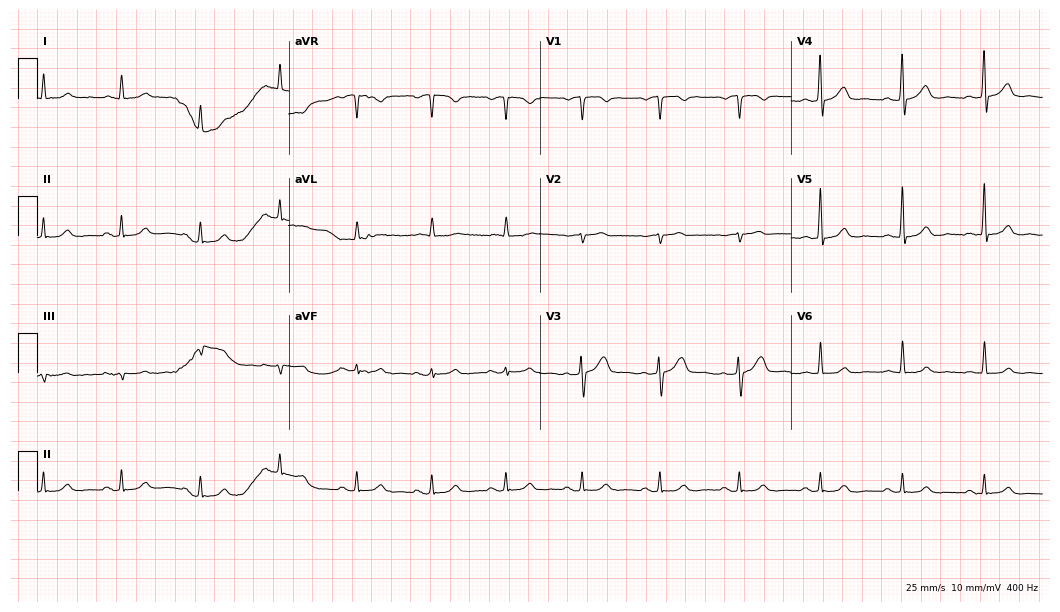
Electrocardiogram, a man, 50 years old. Of the six screened findings (first-degree AV block, right bundle branch block (RBBB), left bundle branch block (LBBB), sinus bradycardia, atrial fibrillation (AF), sinus tachycardia), none is recorded.